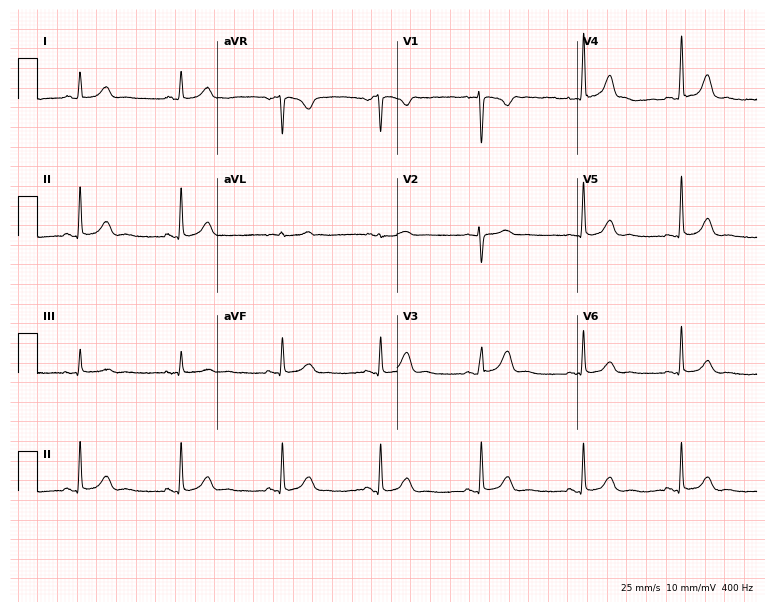
Electrocardiogram, a woman, 38 years old. Of the six screened findings (first-degree AV block, right bundle branch block, left bundle branch block, sinus bradycardia, atrial fibrillation, sinus tachycardia), none is recorded.